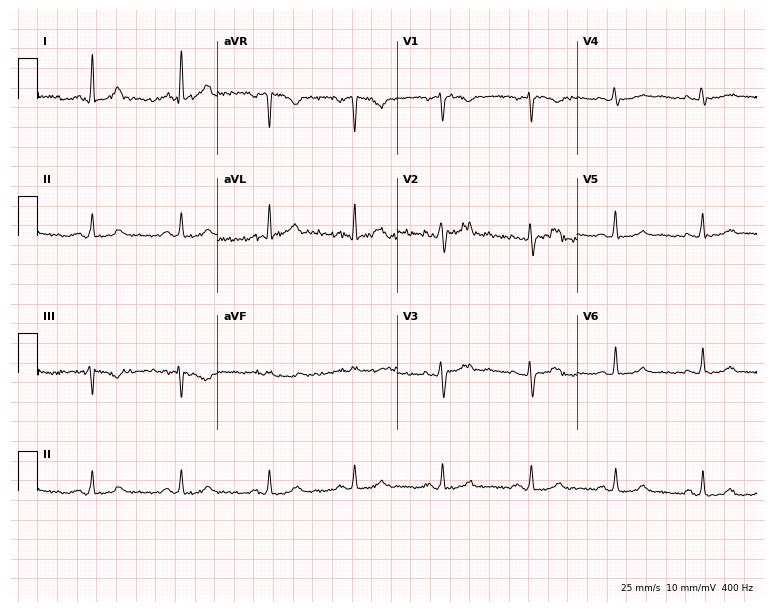
ECG — a 34-year-old woman. Screened for six findings — first-degree AV block, right bundle branch block, left bundle branch block, sinus bradycardia, atrial fibrillation, sinus tachycardia — none is recorded.